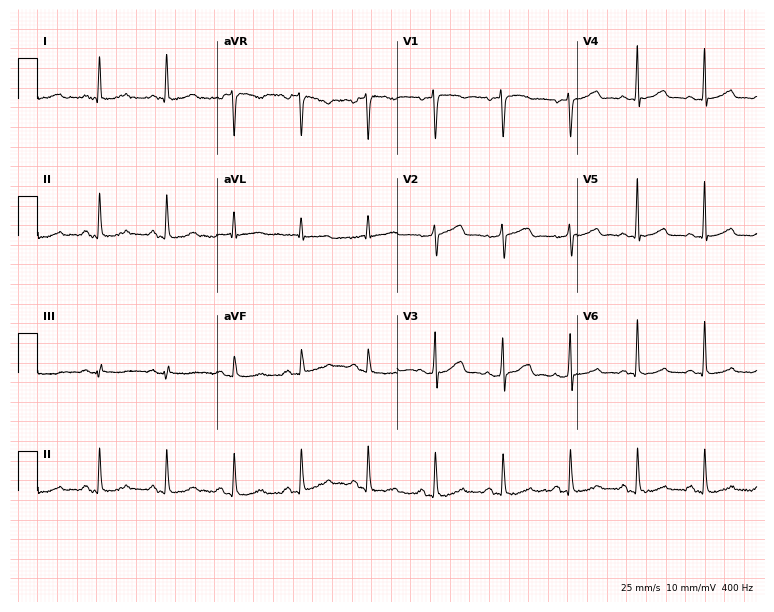
Standard 12-lead ECG recorded from a woman, 56 years old. Read as a normal ECG.